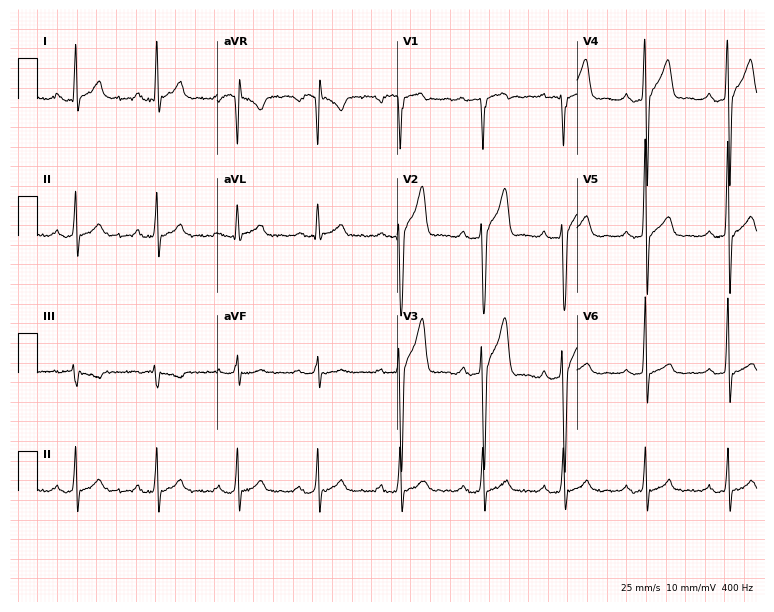
Electrocardiogram, a man, 34 years old. Of the six screened findings (first-degree AV block, right bundle branch block (RBBB), left bundle branch block (LBBB), sinus bradycardia, atrial fibrillation (AF), sinus tachycardia), none is recorded. Other findings, if any, are not listed.